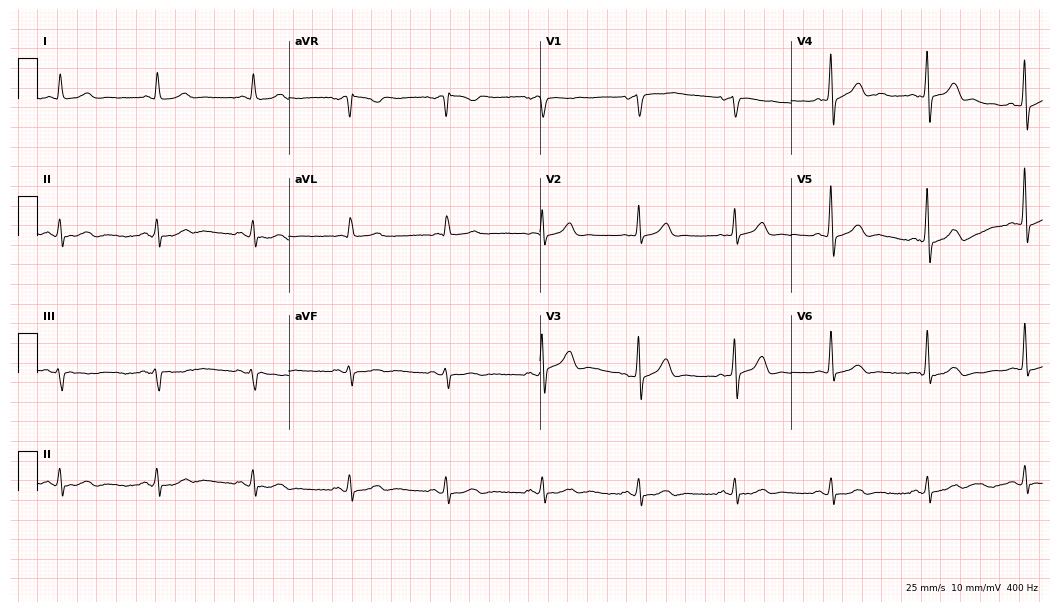
12-lead ECG from a male, 82 years old (10.2-second recording at 400 Hz). Recorded interpretation: within normal limits.